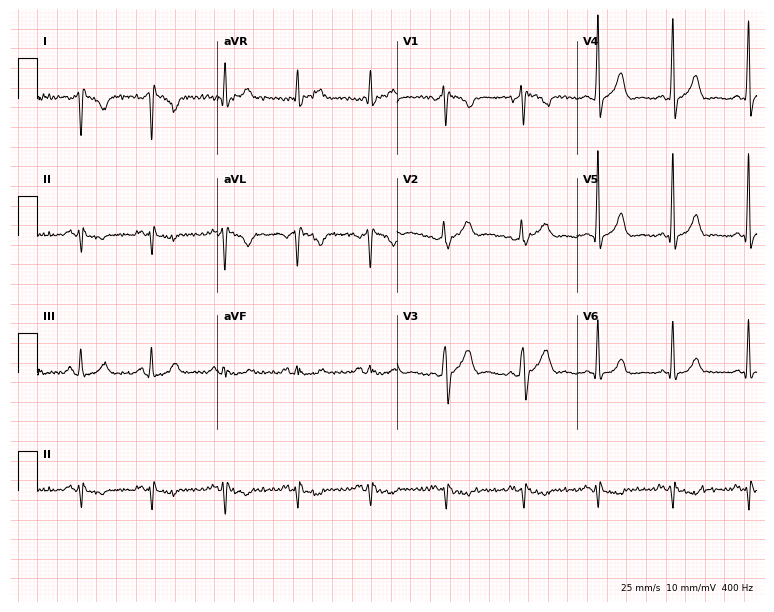
12-lead ECG from a 45-year-old man (7.3-second recording at 400 Hz). No first-degree AV block, right bundle branch block, left bundle branch block, sinus bradycardia, atrial fibrillation or sinus tachycardia recorded for this tracing.